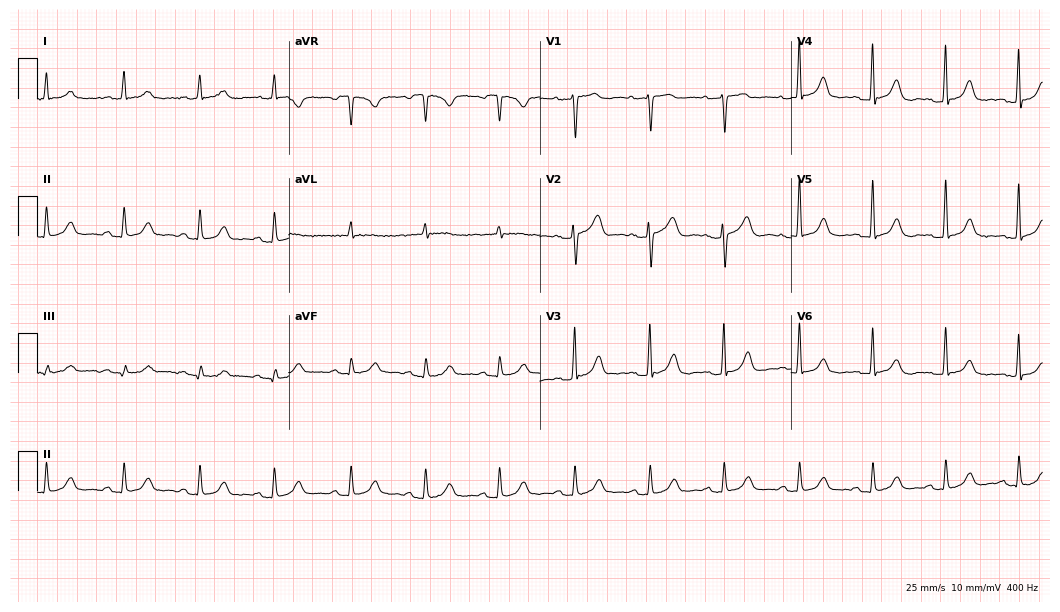
Resting 12-lead electrocardiogram (10.2-second recording at 400 Hz). Patient: a woman, 77 years old. Read as a normal ECG.